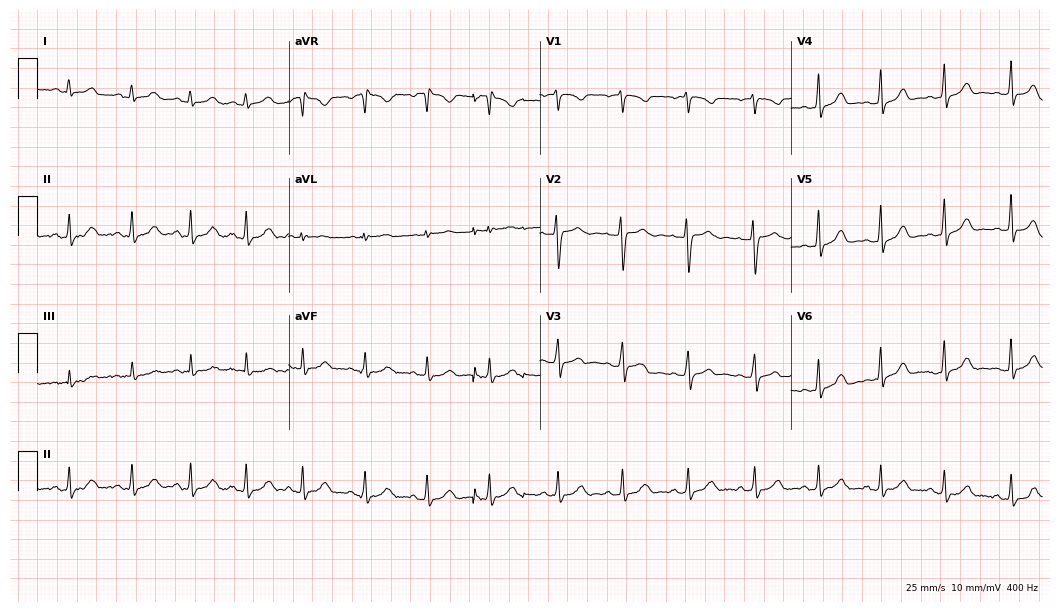
ECG — a woman, 17 years old. Labelled as a normal ECG.